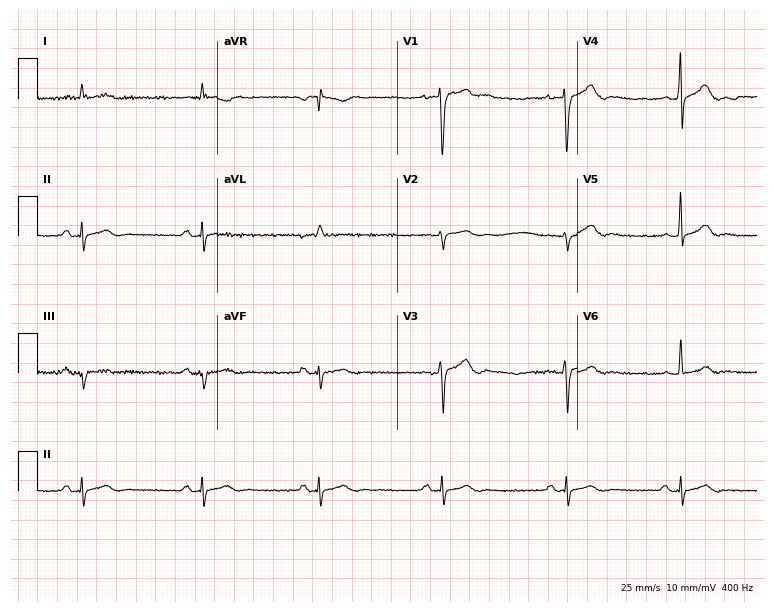
Electrocardiogram (7.3-second recording at 400 Hz), a male, 40 years old. Interpretation includes sinus bradycardia (a sinus rate of 50 beats per minute or less).